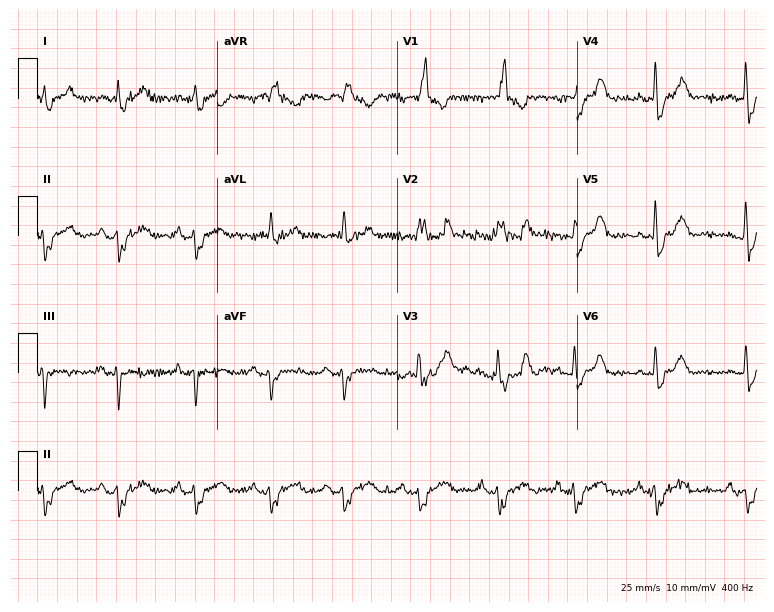
Electrocardiogram (7.3-second recording at 400 Hz), a 69-year-old male. Interpretation includes right bundle branch block (RBBB).